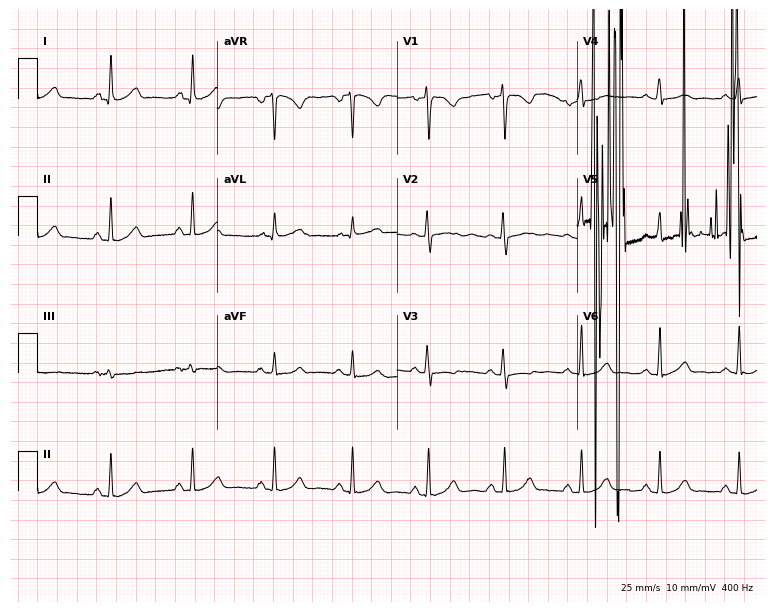
12-lead ECG from a woman, 35 years old (7.3-second recording at 400 Hz). Recorded interpretation: within normal limits.